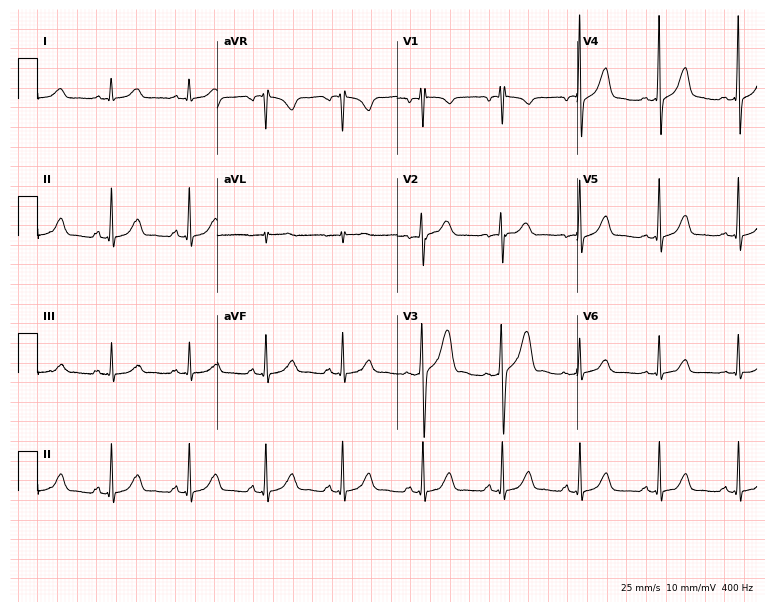
12-lead ECG from a 28-year-old female (7.3-second recording at 400 Hz). No first-degree AV block, right bundle branch block, left bundle branch block, sinus bradycardia, atrial fibrillation or sinus tachycardia recorded for this tracing. Other findings, if any, are not listed.